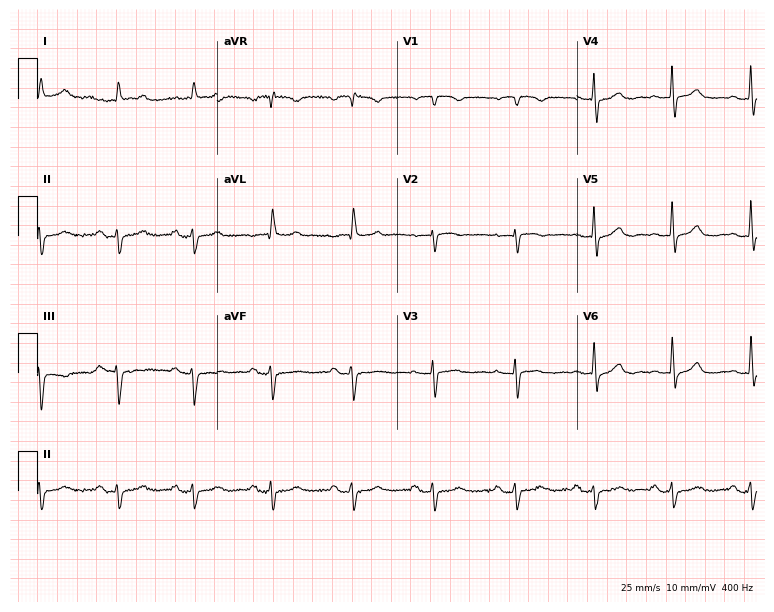
12-lead ECG from a female, 76 years old (7.3-second recording at 400 Hz). No first-degree AV block, right bundle branch block, left bundle branch block, sinus bradycardia, atrial fibrillation or sinus tachycardia recorded for this tracing.